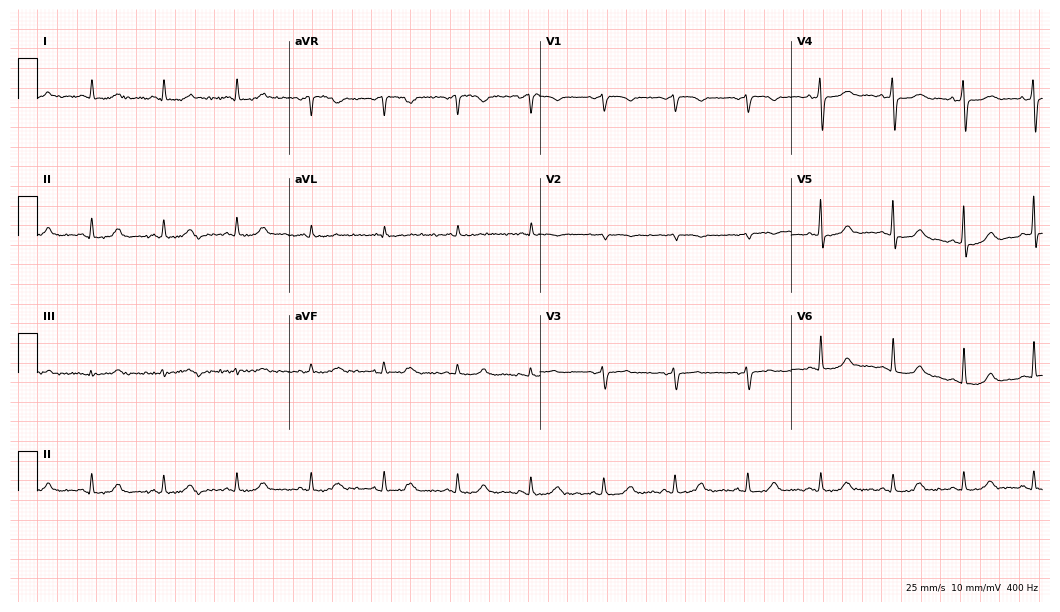
12-lead ECG (10.2-second recording at 400 Hz) from a 66-year-old female. Screened for six findings — first-degree AV block, right bundle branch block, left bundle branch block, sinus bradycardia, atrial fibrillation, sinus tachycardia — none is recorded. Findings outside these six are not listed.